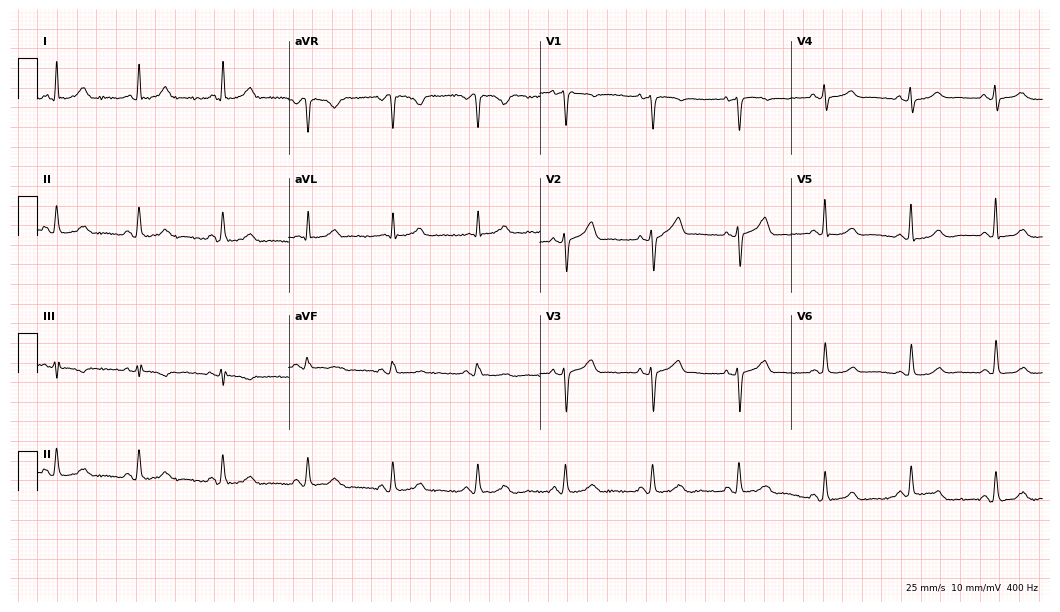
12-lead ECG from a female, 44 years old. Recorded interpretation: within normal limits.